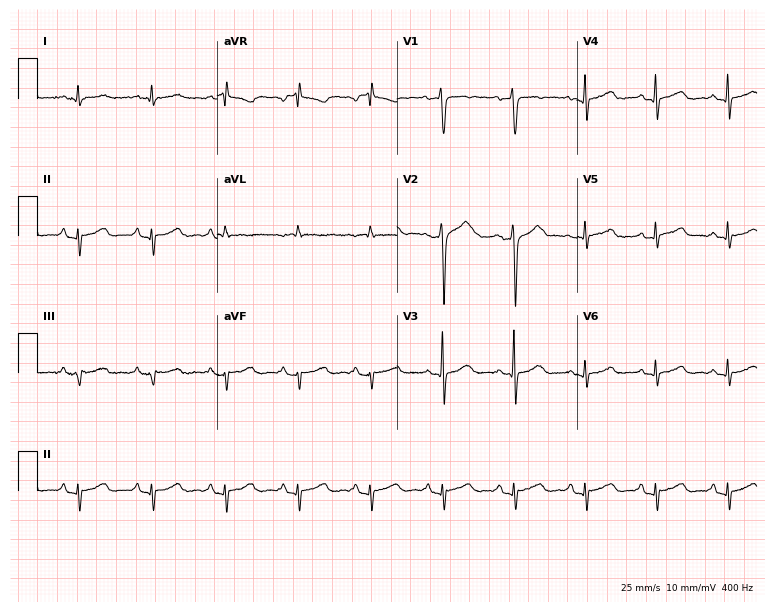
Electrocardiogram (7.3-second recording at 400 Hz), a 55-year-old man. Of the six screened findings (first-degree AV block, right bundle branch block (RBBB), left bundle branch block (LBBB), sinus bradycardia, atrial fibrillation (AF), sinus tachycardia), none is recorded.